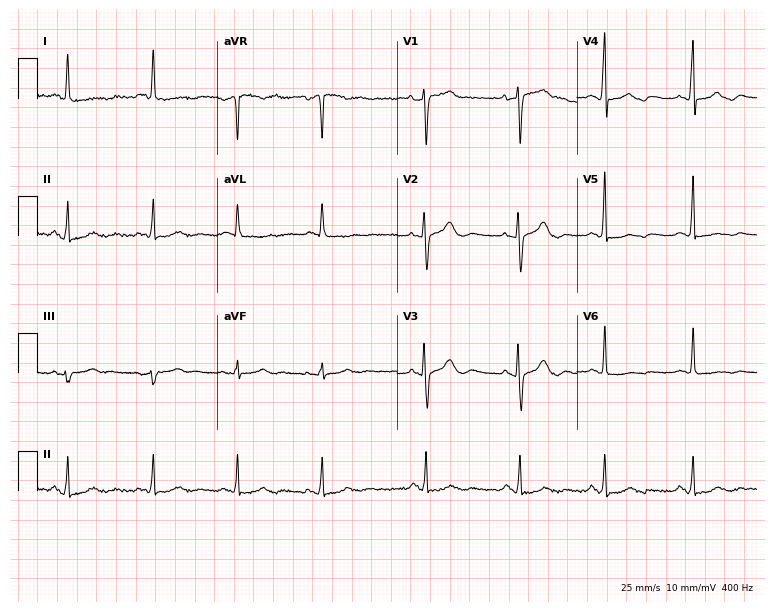
12-lead ECG from a female patient, 56 years old (7.3-second recording at 400 Hz). Recorded interpretation: within normal limits.